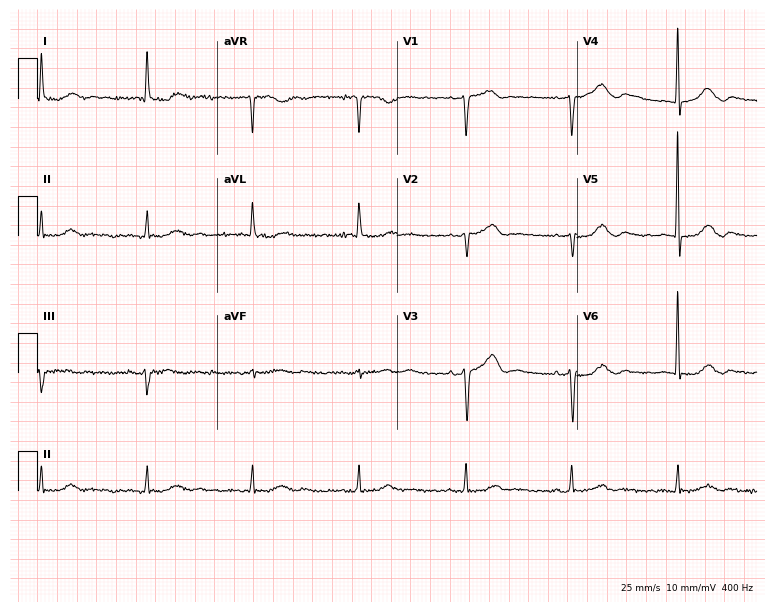
Standard 12-lead ECG recorded from an 85-year-old female patient. None of these six findings is recorded: first-degree AV block, right bundle branch block, left bundle branch block, sinus bradycardia, atrial fibrillation, sinus tachycardia.